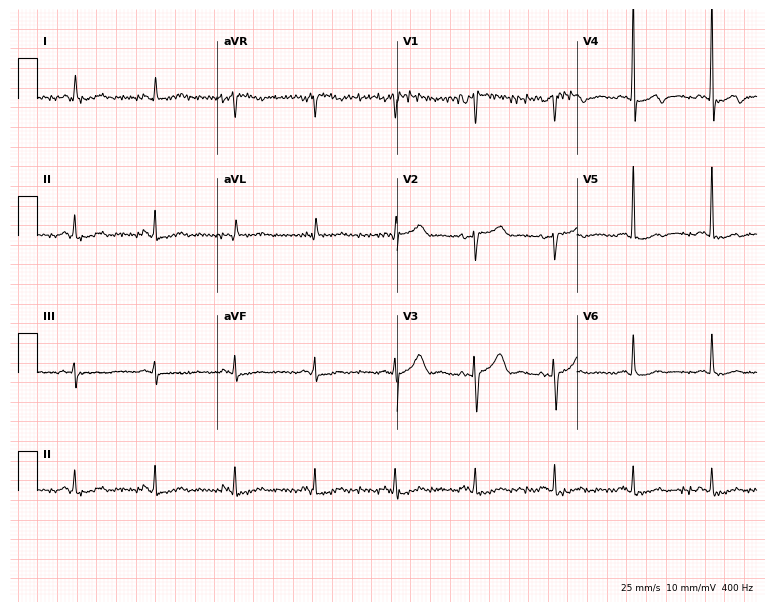
Resting 12-lead electrocardiogram. Patient: a male, 54 years old. None of these six findings is recorded: first-degree AV block, right bundle branch block (RBBB), left bundle branch block (LBBB), sinus bradycardia, atrial fibrillation (AF), sinus tachycardia. Other findings, if any, are not listed.